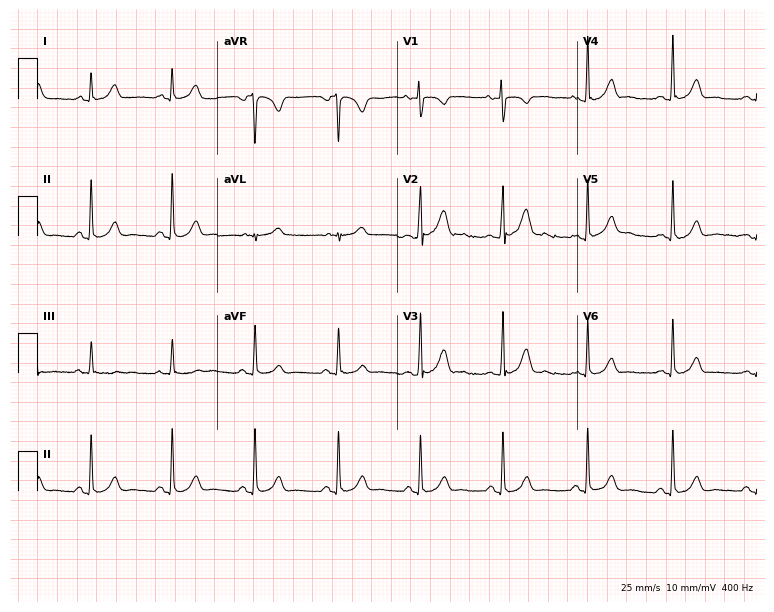
12-lead ECG from a 22-year-old woman (7.3-second recording at 400 Hz). No first-degree AV block, right bundle branch block (RBBB), left bundle branch block (LBBB), sinus bradycardia, atrial fibrillation (AF) or sinus tachycardia recorded for this tracing.